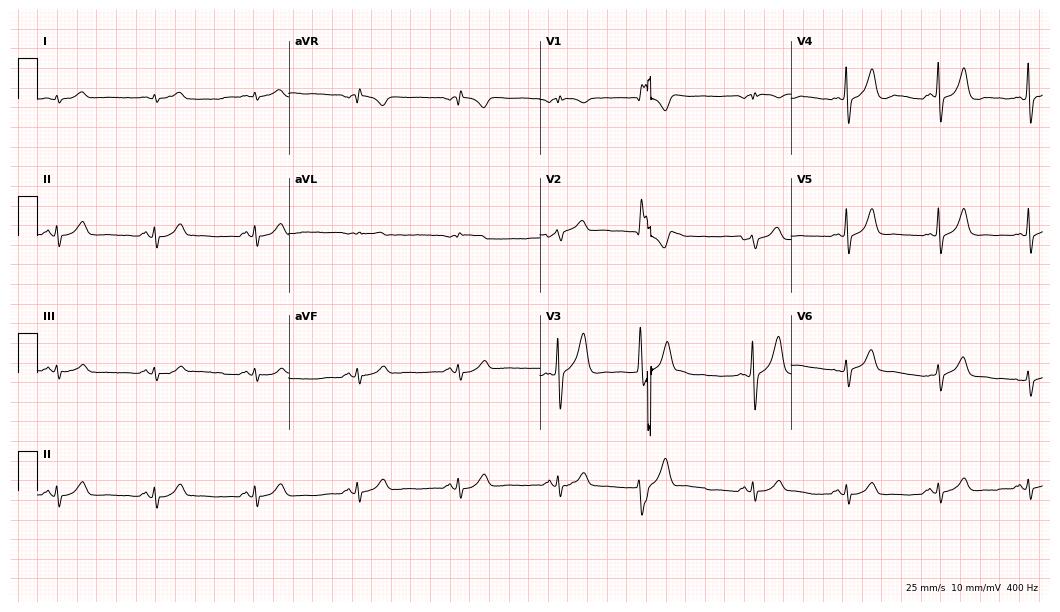
Standard 12-lead ECG recorded from a 66-year-old male (10.2-second recording at 400 Hz). None of these six findings is recorded: first-degree AV block, right bundle branch block, left bundle branch block, sinus bradycardia, atrial fibrillation, sinus tachycardia. Findings outside these six are not listed.